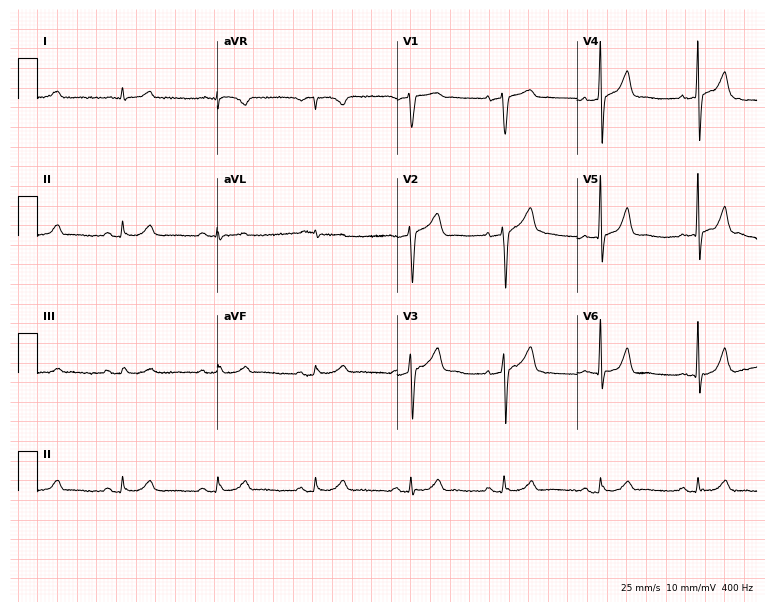
Electrocardiogram (7.3-second recording at 400 Hz), a 70-year-old male. Overall reading on record: normal ECG.